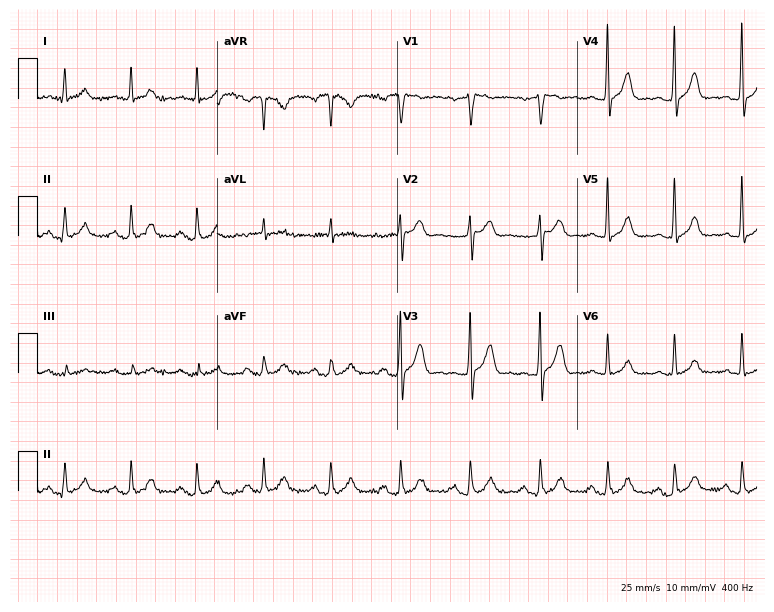
12-lead ECG from a 65-year-old man (7.3-second recording at 400 Hz). Recorded interpretation: within normal limits.